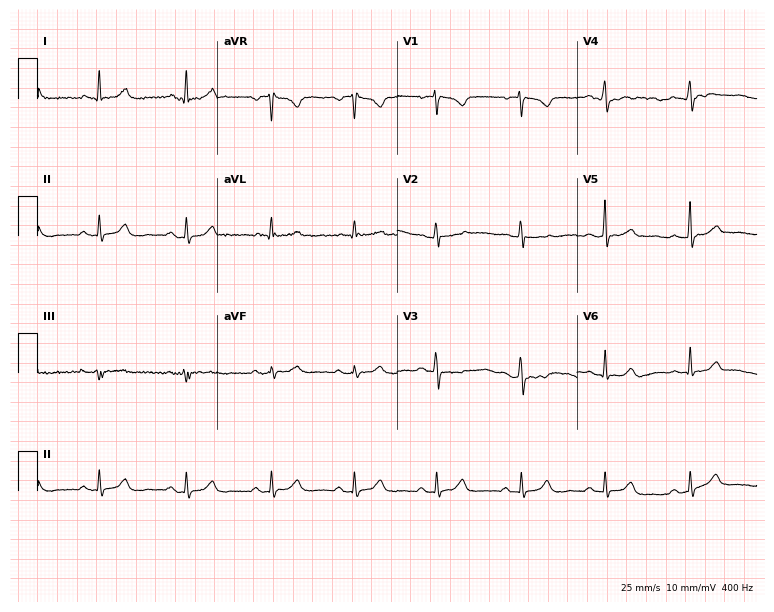
Resting 12-lead electrocardiogram (7.3-second recording at 400 Hz). Patient: a female, 37 years old. Read as a normal ECG.